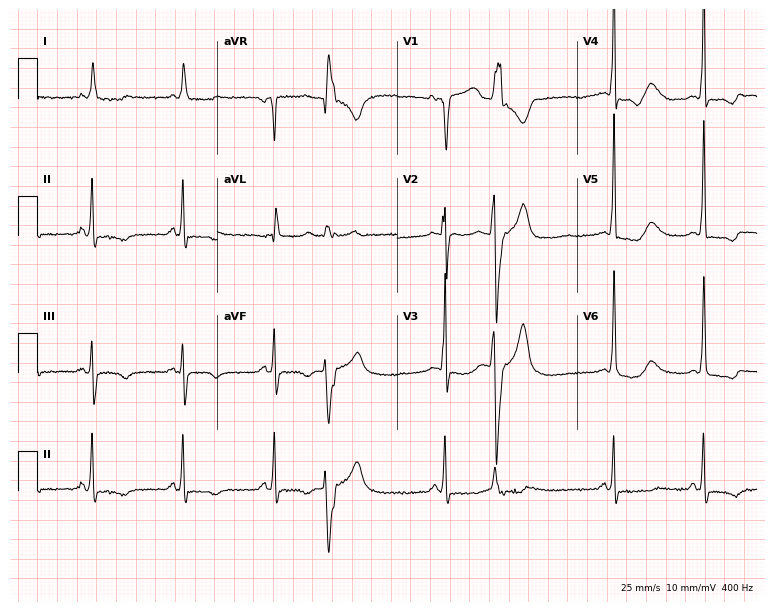
Resting 12-lead electrocardiogram. Patient: a 70-year-old man. None of these six findings is recorded: first-degree AV block, right bundle branch block, left bundle branch block, sinus bradycardia, atrial fibrillation, sinus tachycardia. Other findings, if any, are not listed.